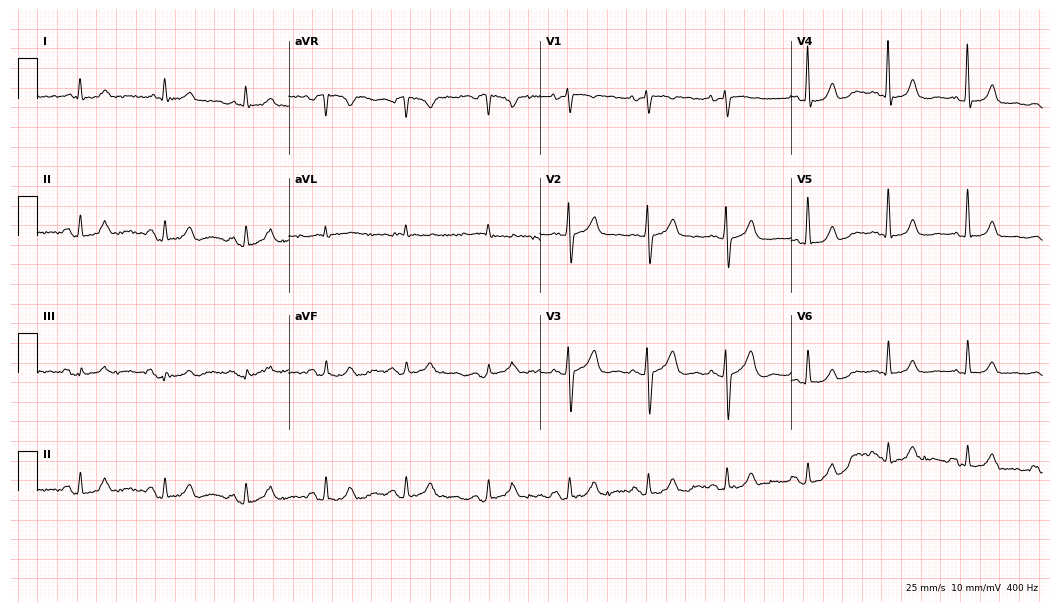
12-lead ECG from a man, 72 years old. Labelled as a normal ECG.